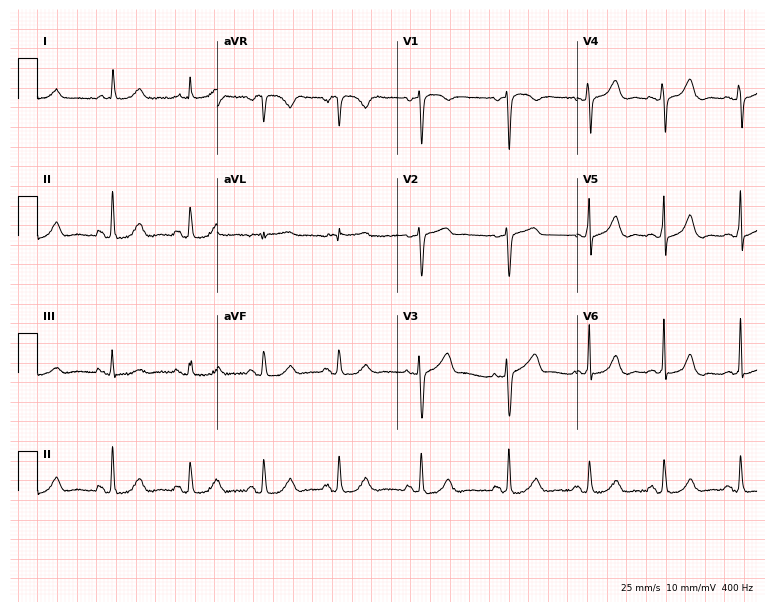
12-lead ECG from an 81-year-old female patient. Labelled as a normal ECG.